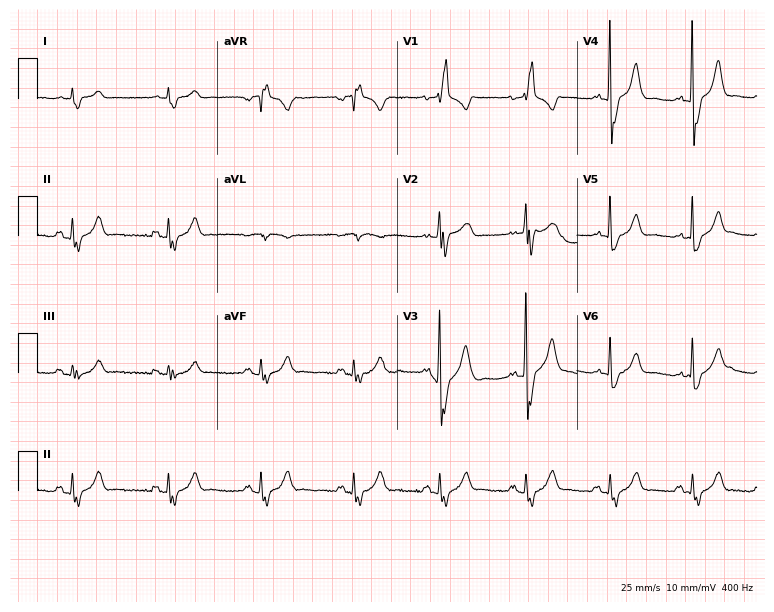
Standard 12-lead ECG recorded from a male patient, 63 years old (7.3-second recording at 400 Hz). The tracing shows right bundle branch block (RBBB).